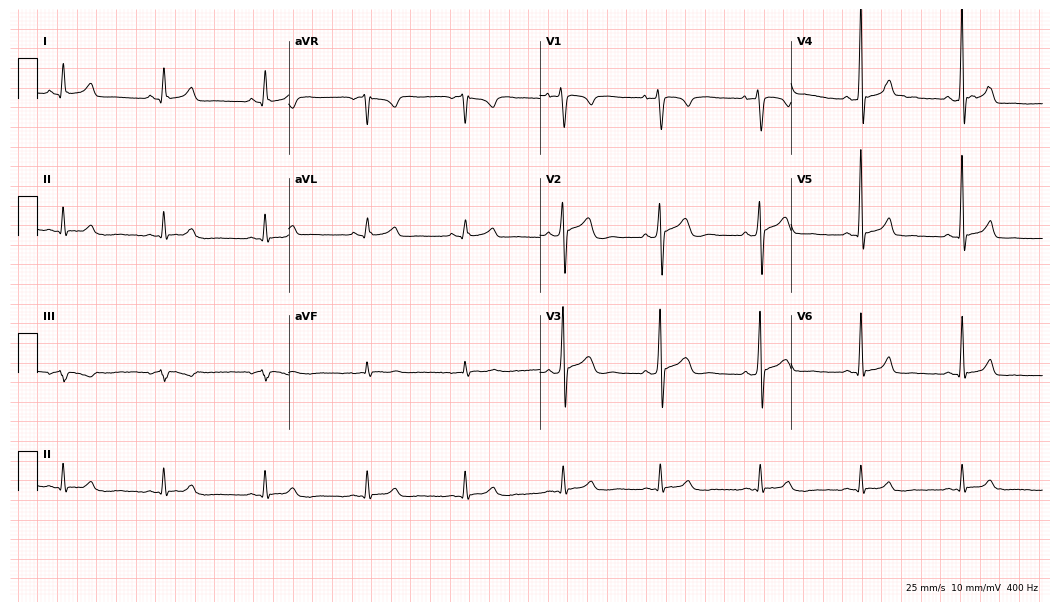
Electrocardiogram, a male patient, 28 years old. Of the six screened findings (first-degree AV block, right bundle branch block, left bundle branch block, sinus bradycardia, atrial fibrillation, sinus tachycardia), none is recorded.